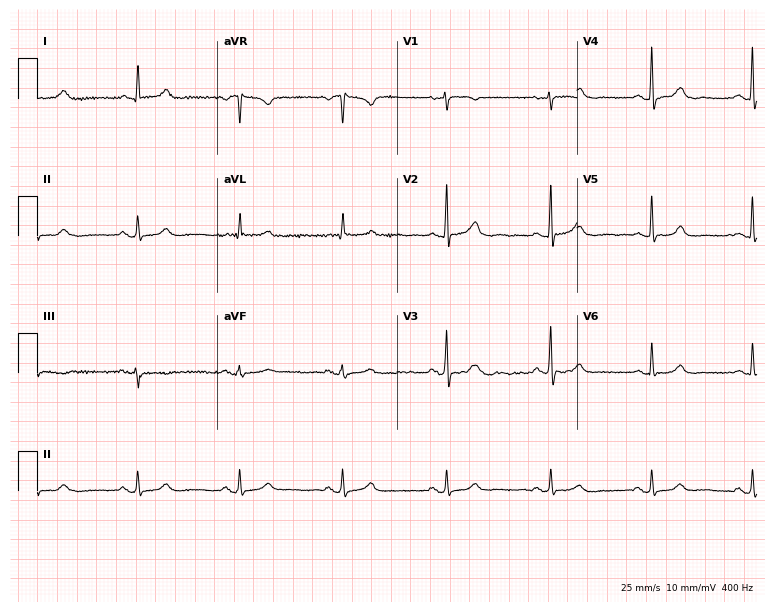
Standard 12-lead ECG recorded from an 80-year-old woman (7.3-second recording at 400 Hz). Read as a normal ECG.